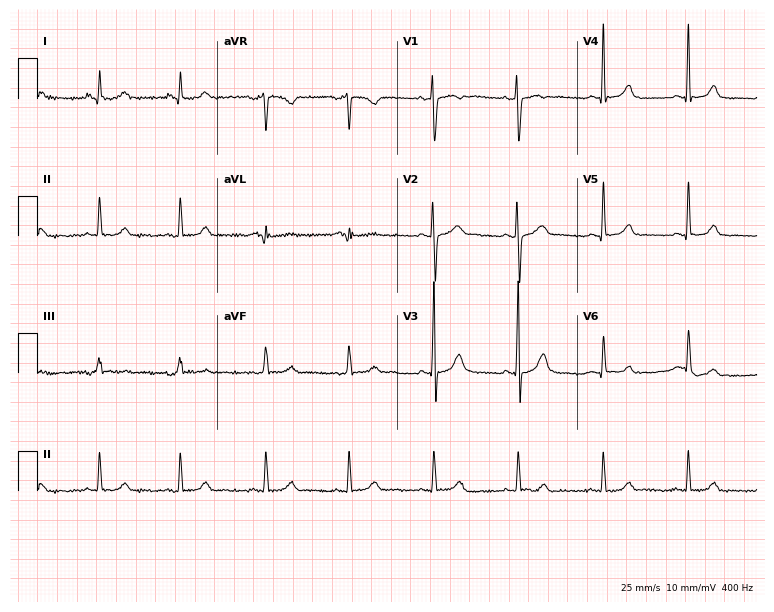
ECG (7.3-second recording at 400 Hz) — a 33-year-old woman. Screened for six findings — first-degree AV block, right bundle branch block, left bundle branch block, sinus bradycardia, atrial fibrillation, sinus tachycardia — none is recorded.